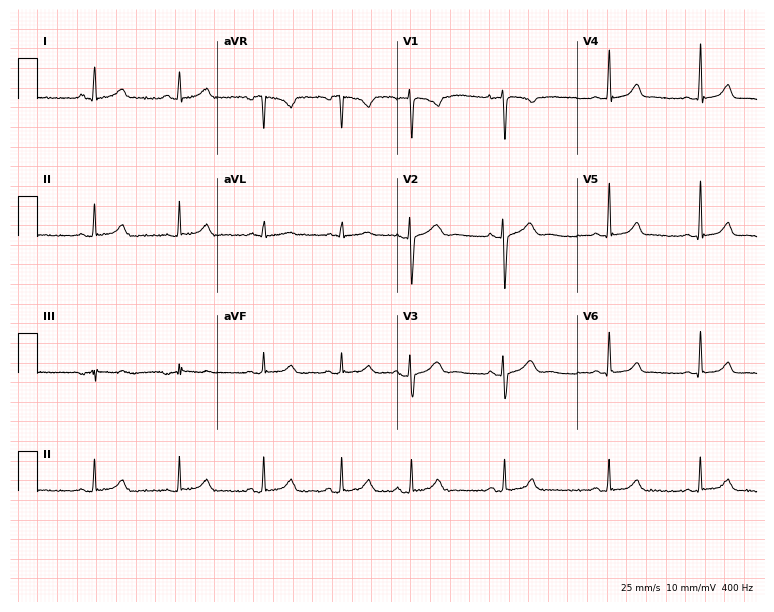
Electrocardiogram (7.3-second recording at 400 Hz), a 27-year-old woman. Of the six screened findings (first-degree AV block, right bundle branch block, left bundle branch block, sinus bradycardia, atrial fibrillation, sinus tachycardia), none is recorded.